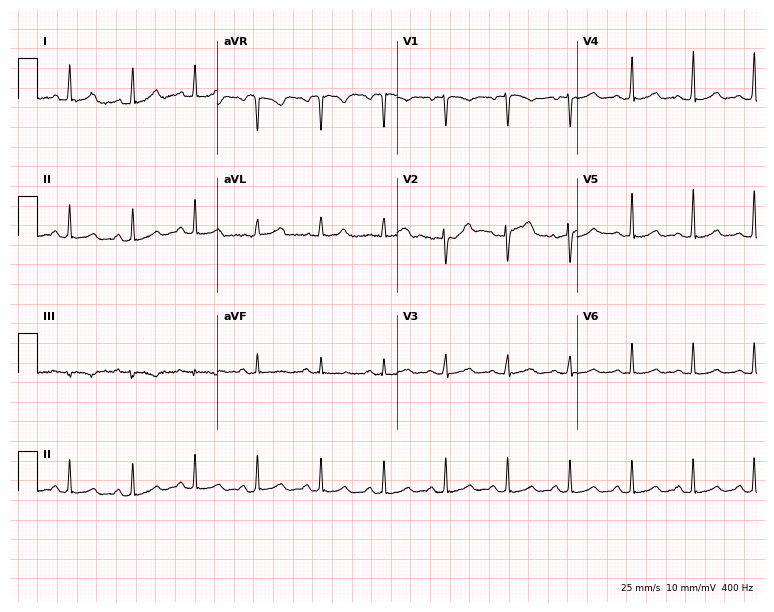
Resting 12-lead electrocardiogram. Patient: a woman, 27 years old. Read as a normal ECG.